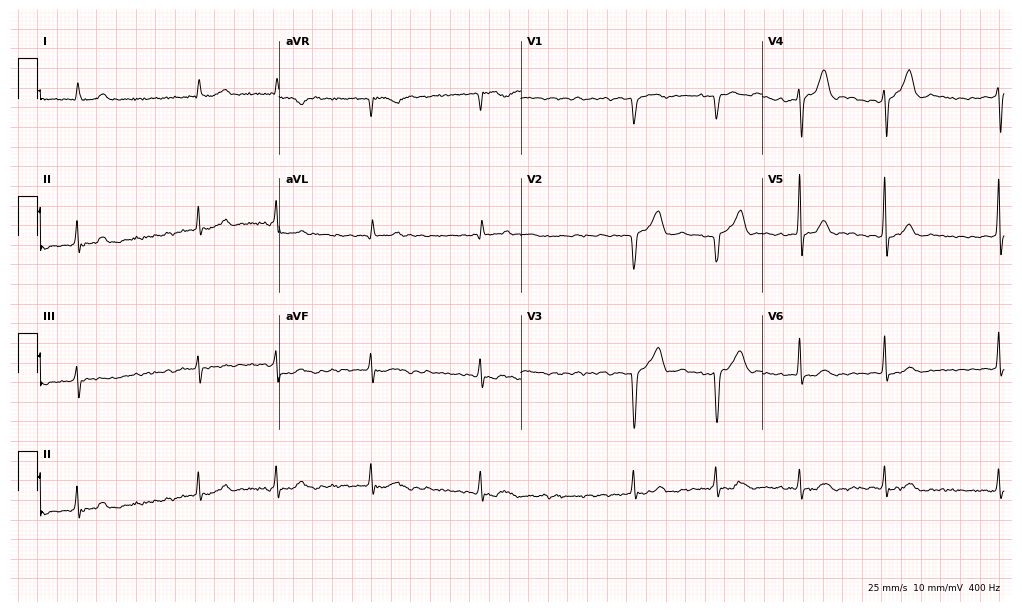
Standard 12-lead ECG recorded from a male, 72 years old (9.9-second recording at 400 Hz). The tracing shows atrial fibrillation.